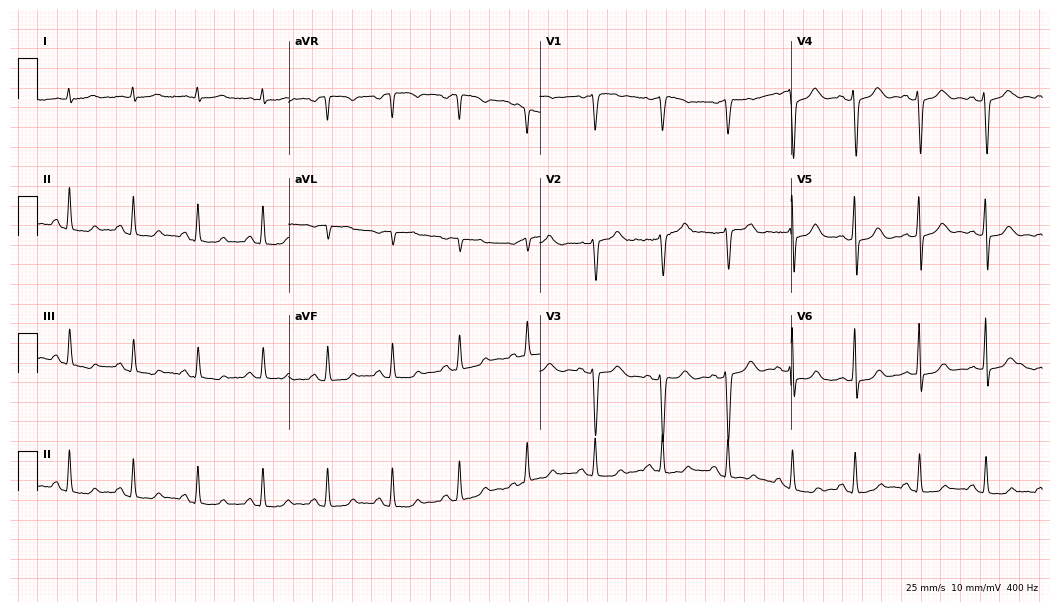
12-lead ECG from a female, 41 years old. Labelled as a normal ECG.